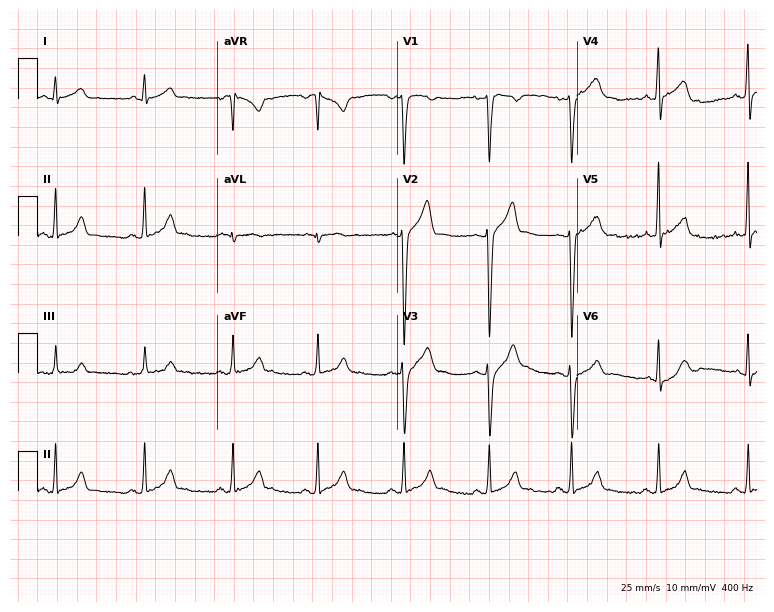
Electrocardiogram, a 29-year-old male patient. Overall reading on record: normal ECG.